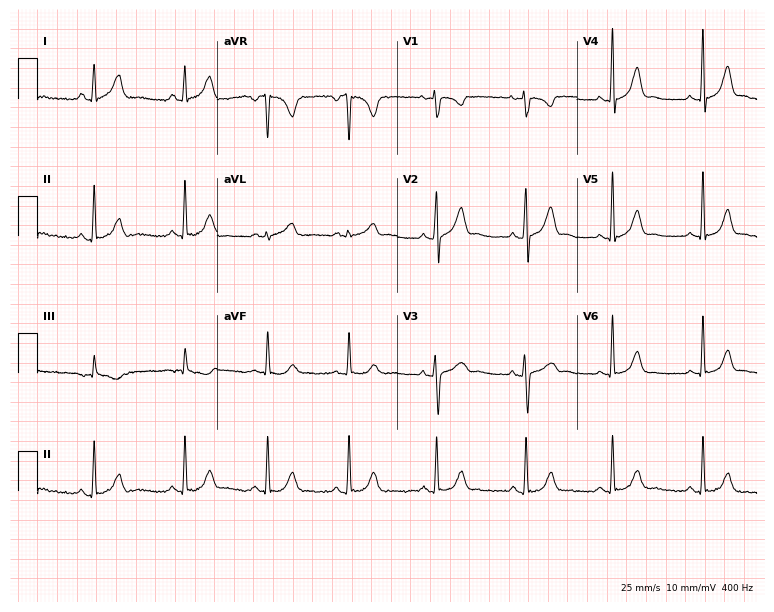
12-lead ECG (7.3-second recording at 400 Hz) from a 27-year-old female patient. Labelled as a normal ECG.